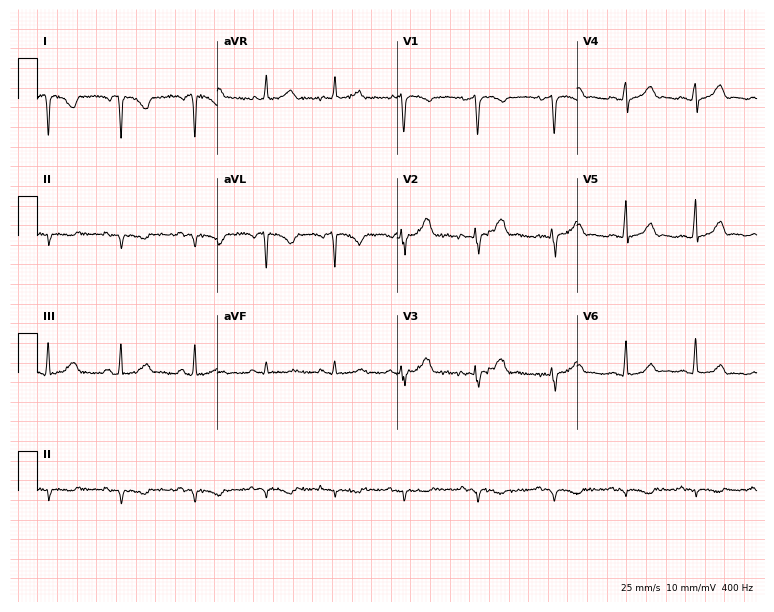
ECG (7.3-second recording at 400 Hz) — a female, 34 years old. Screened for six findings — first-degree AV block, right bundle branch block, left bundle branch block, sinus bradycardia, atrial fibrillation, sinus tachycardia — none is recorded.